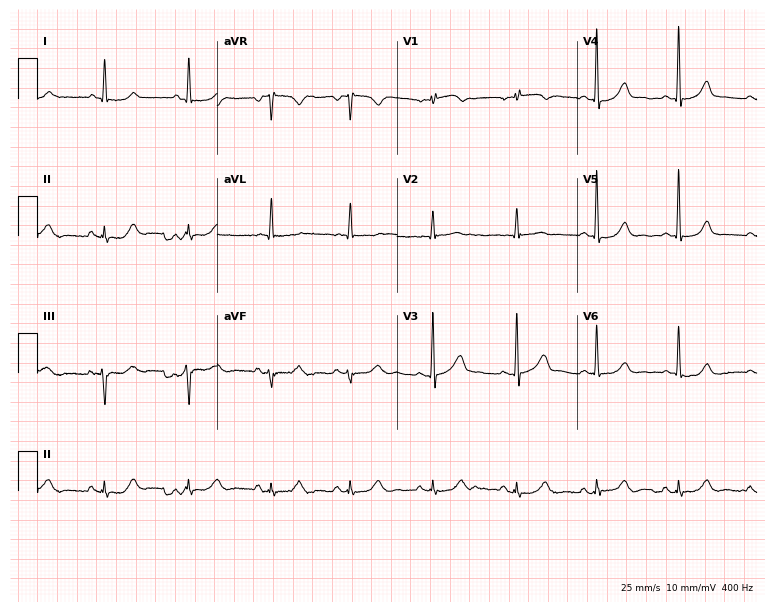
Electrocardiogram, a female patient, 62 years old. Overall reading on record: normal ECG.